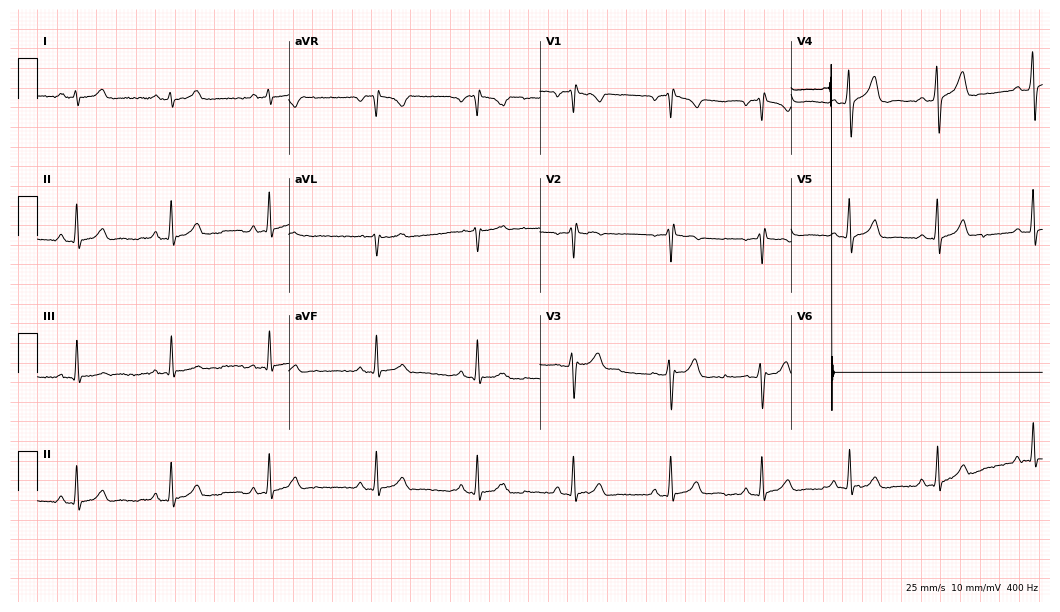
Resting 12-lead electrocardiogram (10.2-second recording at 400 Hz). Patient: a 31-year-old man. None of these six findings is recorded: first-degree AV block, right bundle branch block, left bundle branch block, sinus bradycardia, atrial fibrillation, sinus tachycardia.